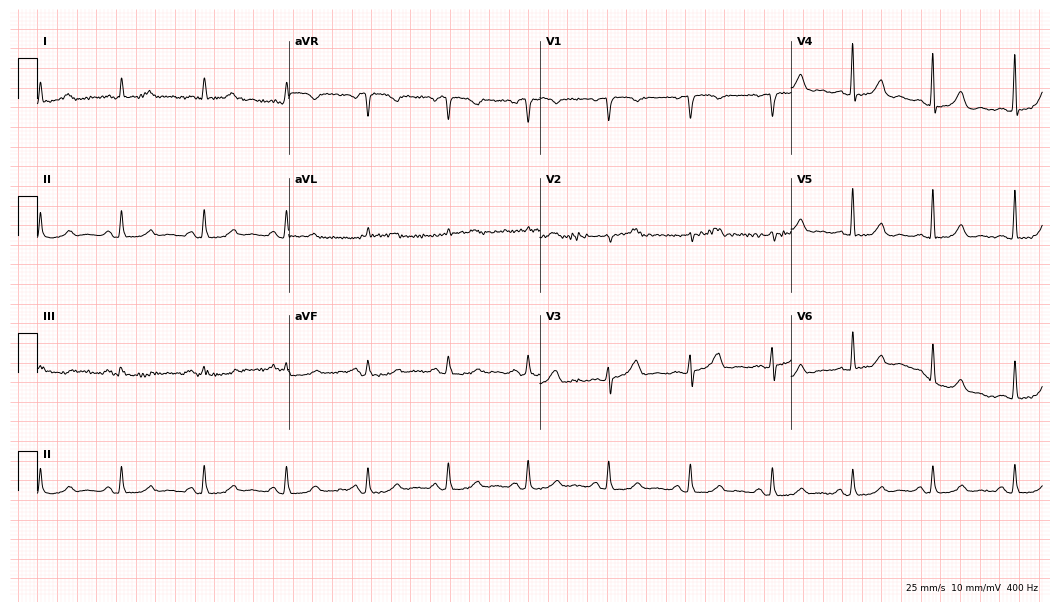
Resting 12-lead electrocardiogram (10.2-second recording at 400 Hz). Patient: a 79-year-old female. None of these six findings is recorded: first-degree AV block, right bundle branch block, left bundle branch block, sinus bradycardia, atrial fibrillation, sinus tachycardia. Other findings, if any, are not listed.